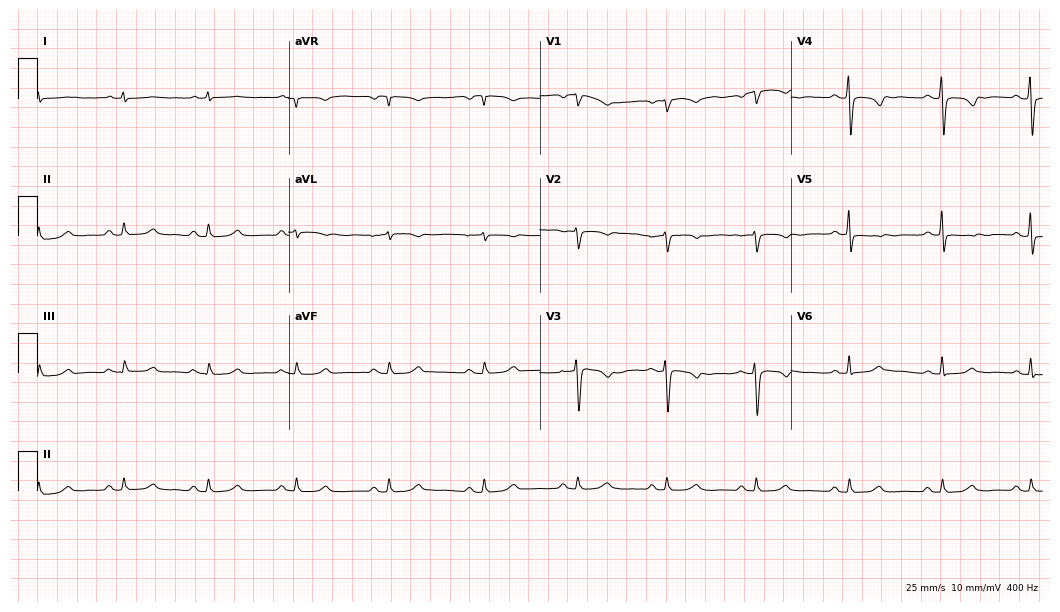
12-lead ECG from a 51-year-old female. Screened for six findings — first-degree AV block, right bundle branch block (RBBB), left bundle branch block (LBBB), sinus bradycardia, atrial fibrillation (AF), sinus tachycardia — none is recorded.